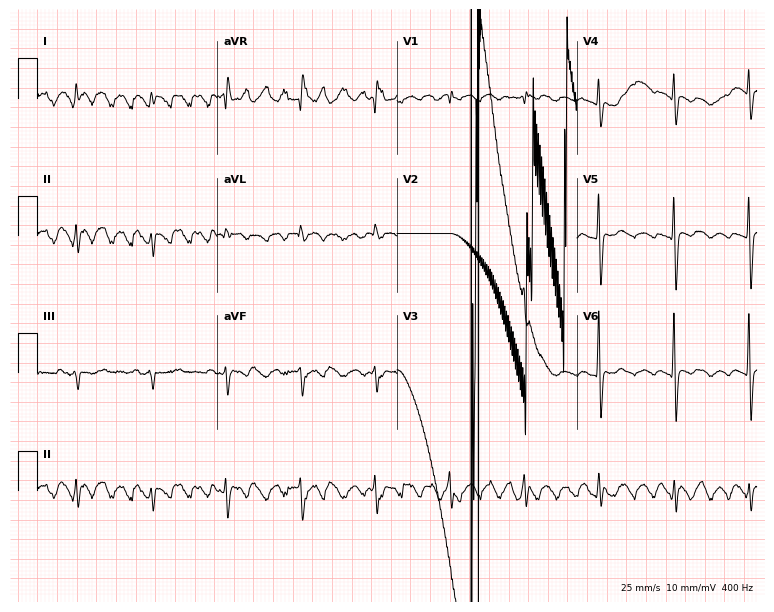
Electrocardiogram (7.3-second recording at 400 Hz), an 84-year-old man. Of the six screened findings (first-degree AV block, right bundle branch block, left bundle branch block, sinus bradycardia, atrial fibrillation, sinus tachycardia), none is recorded. Findings outside these six are not listed.